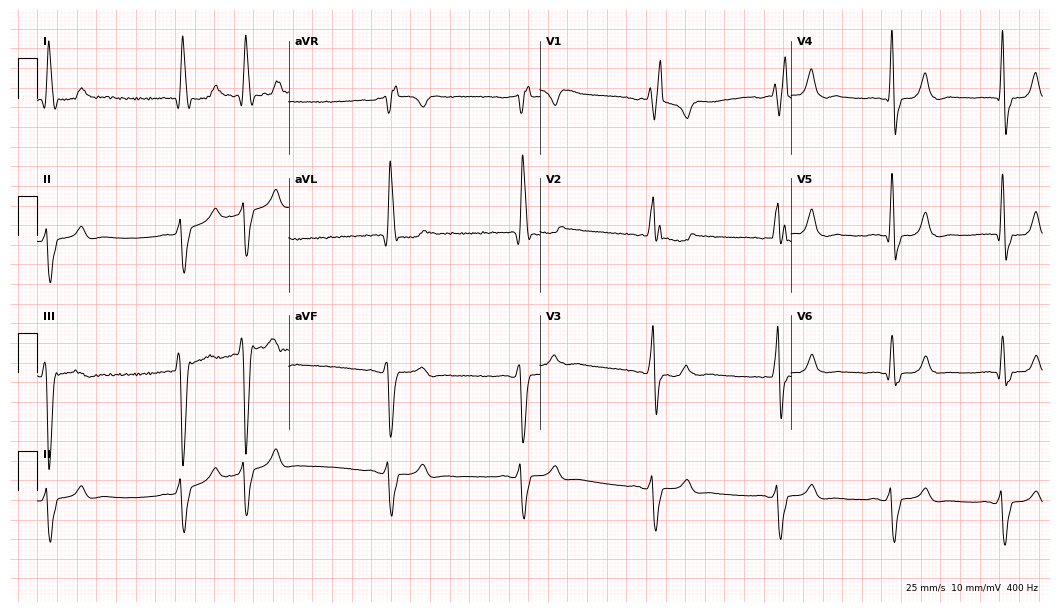
12-lead ECG from a 65-year-old male. Screened for six findings — first-degree AV block, right bundle branch block, left bundle branch block, sinus bradycardia, atrial fibrillation, sinus tachycardia — none is recorded. Only these six findings were labelled.